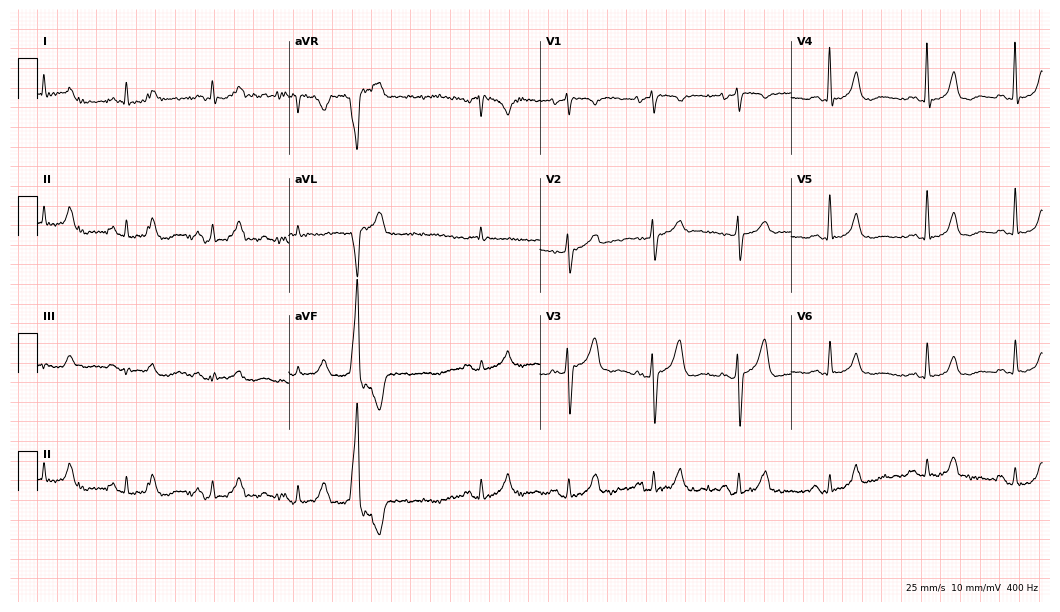
Resting 12-lead electrocardiogram. Patient: a male, 71 years old. Read as a normal ECG.